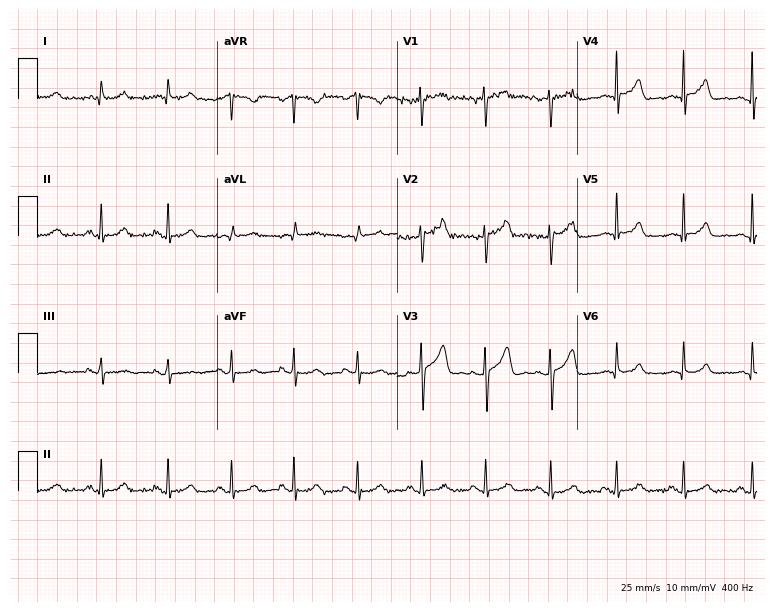
12-lead ECG from a male, 51 years old. No first-degree AV block, right bundle branch block, left bundle branch block, sinus bradycardia, atrial fibrillation or sinus tachycardia recorded for this tracing.